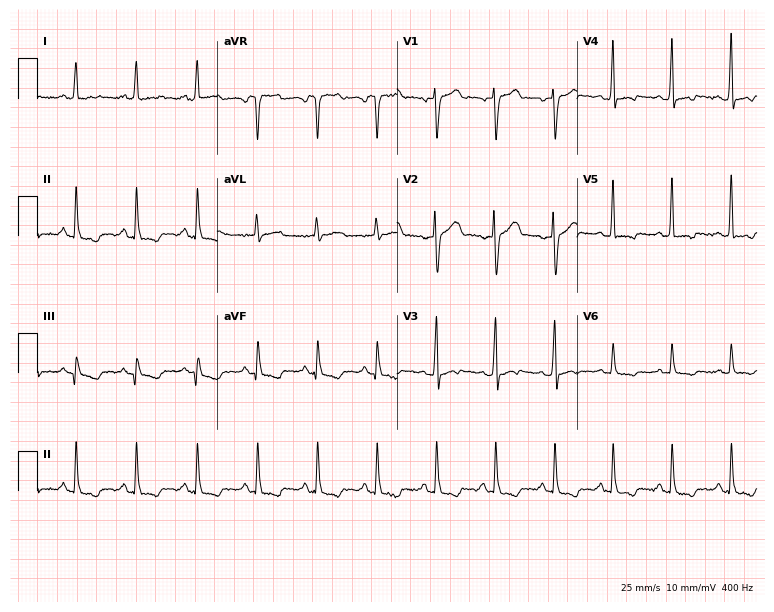
12-lead ECG from a 50-year-old male patient. Screened for six findings — first-degree AV block, right bundle branch block, left bundle branch block, sinus bradycardia, atrial fibrillation, sinus tachycardia — none is recorded.